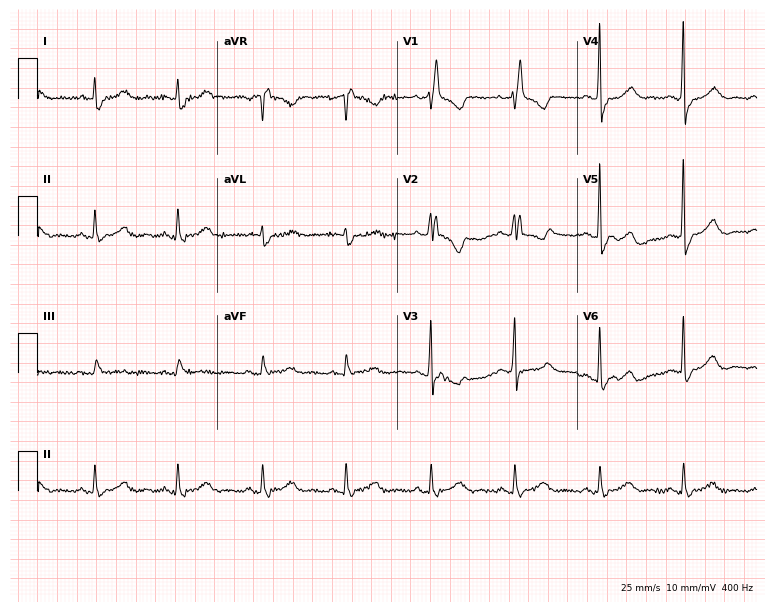
ECG (7.3-second recording at 400 Hz) — a 51-year-old female patient. Findings include right bundle branch block (RBBB).